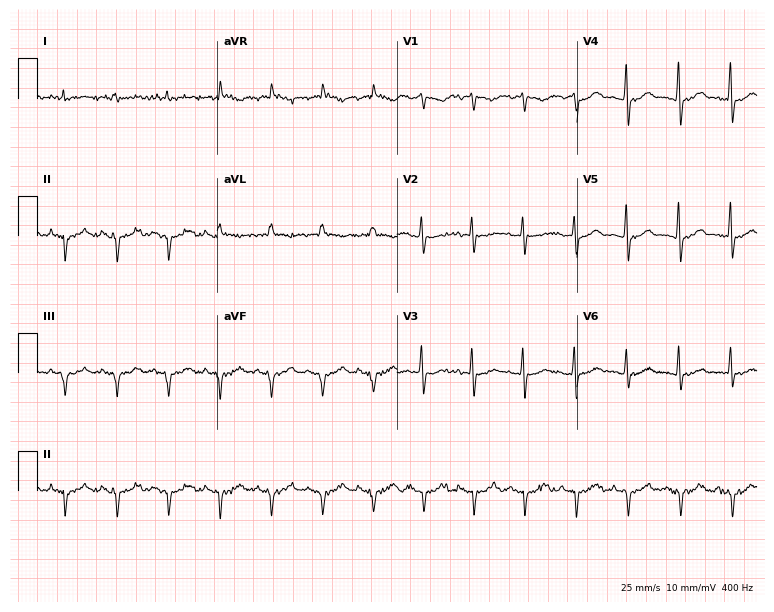
12-lead ECG from a 54-year-old man (7.3-second recording at 400 Hz). No first-degree AV block, right bundle branch block, left bundle branch block, sinus bradycardia, atrial fibrillation or sinus tachycardia recorded for this tracing. Other findings, if any, are not listed.